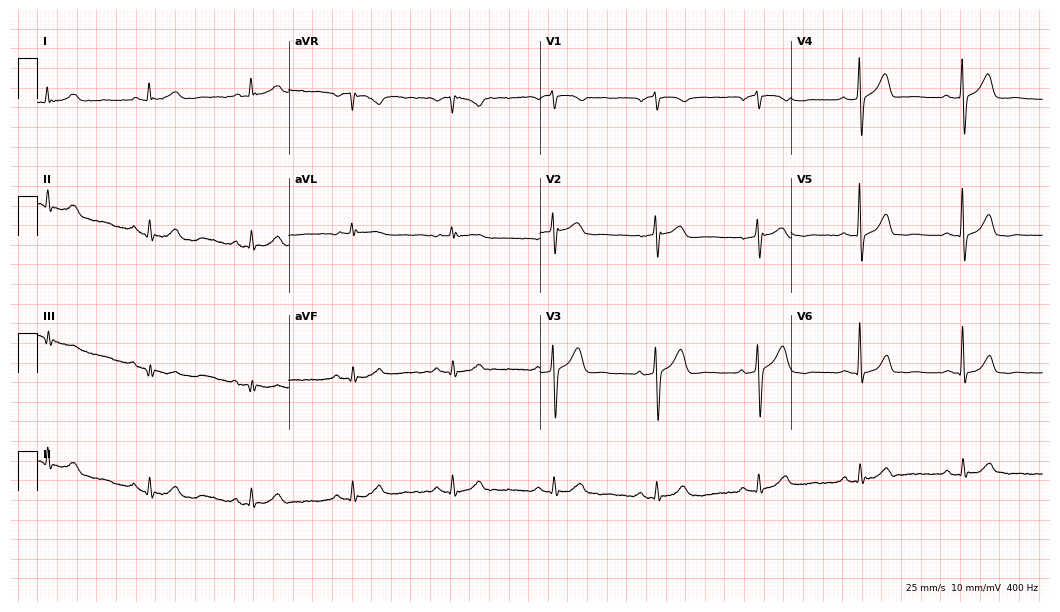
Electrocardiogram, an 86-year-old male patient. Of the six screened findings (first-degree AV block, right bundle branch block (RBBB), left bundle branch block (LBBB), sinus bradycardia, atrial fibrillation (AF), sinus tachycardia), none is recorded. Other findings, if any, are not listed.